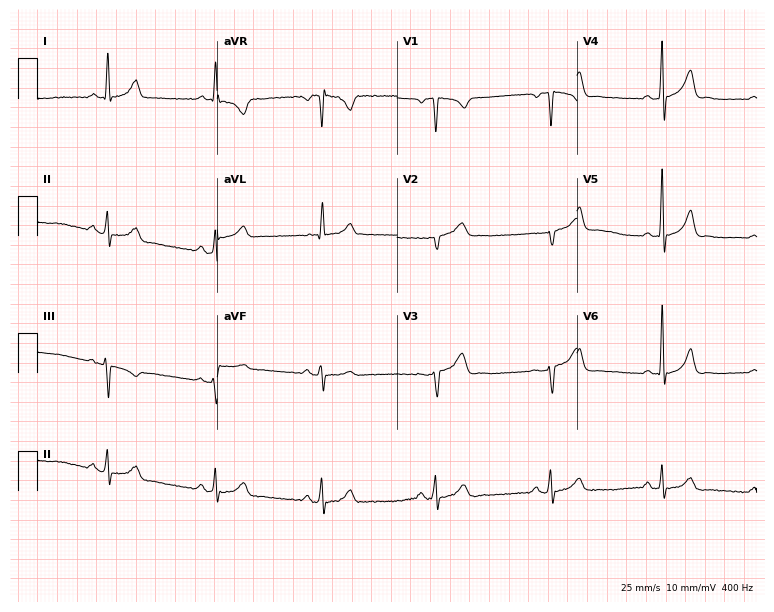
Standard 12-lead ECG recorded from a 38-year-old man. None of these six findings is recorded: first-degree AV block, right bundle branch block (RBBB), left bundle branch block (LBBB), sinus bradycardia, atrial fibrillation (AF), sinus tachycardia.